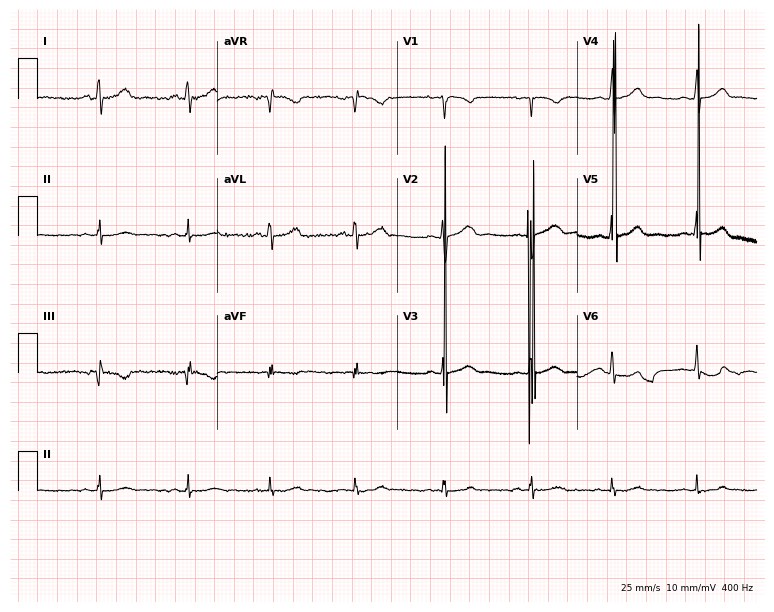
Standard 12-lead ECG recorded from a 17-year-old female. Read as a normal ECG.